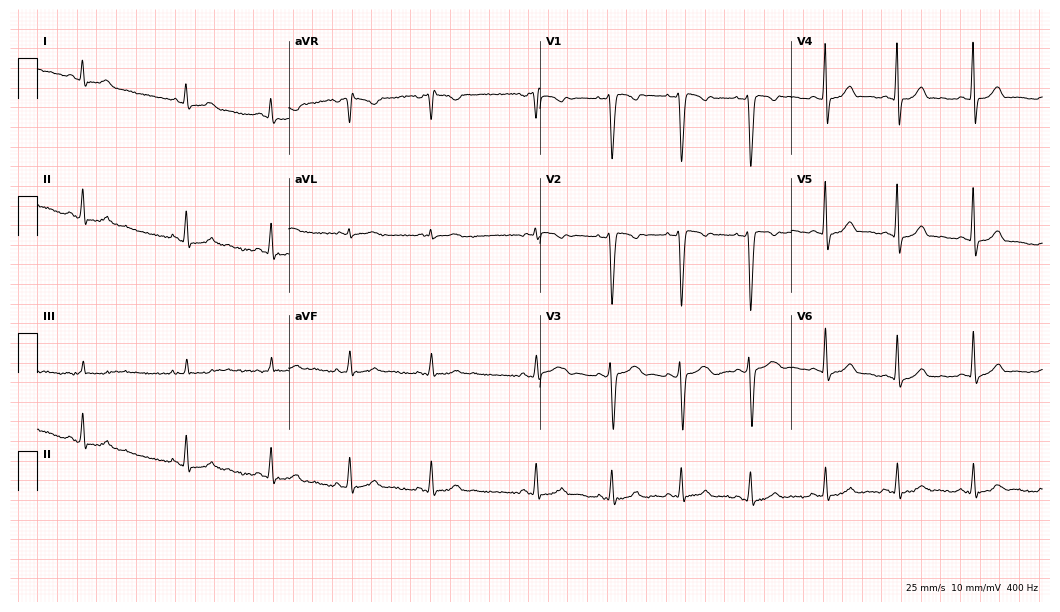
12-lead ECG from a 27-year-old female patient (10.2-second recording at 400 Hz). Recorded interpretation: within normal limits.